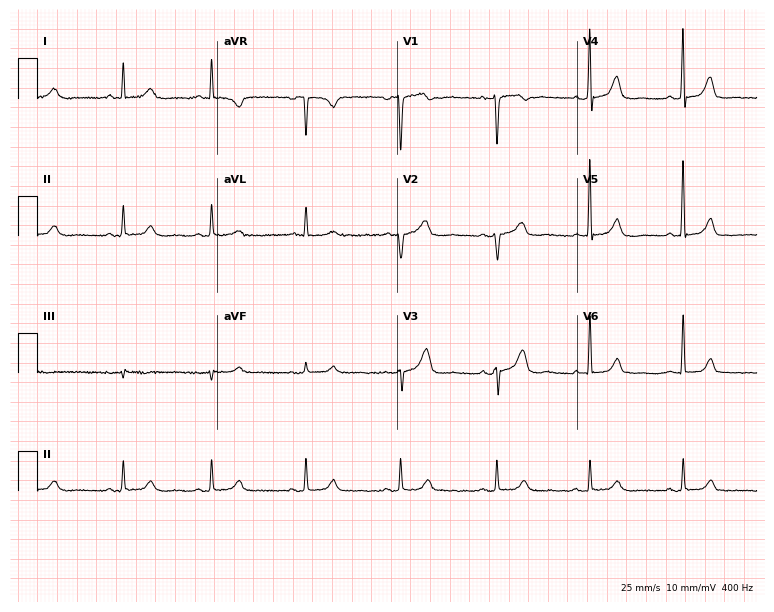
Resting 12-lead electrocardiogram (7.3-second recording at 400 Hz). Patient: a 44-year-old woman. Read as a normal ECG.